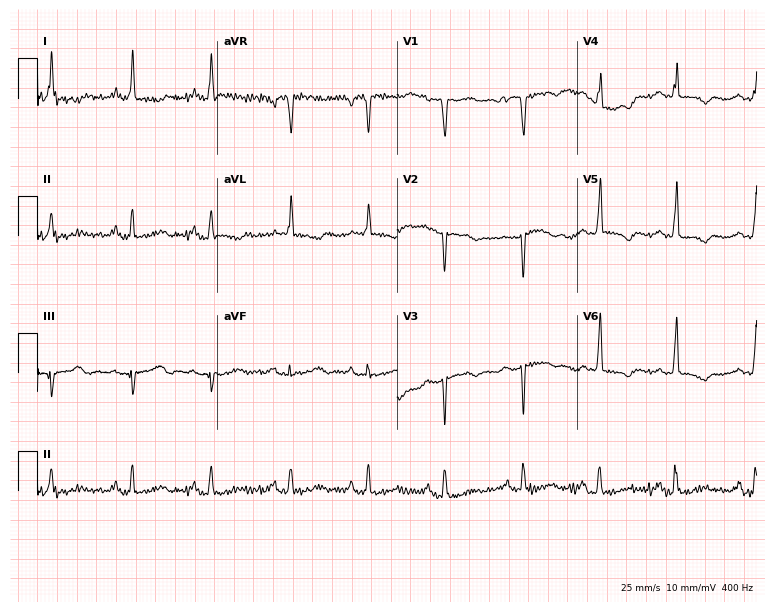
12-lead ECG from an 81-year-old female patient. Screened for six findings — first-degree AV block, right bundle branch block, left bundle branch block, sinus bradycardia, atrial fibrillation, sinus tachycardia — none is recorded. Only these six findings were labelled.